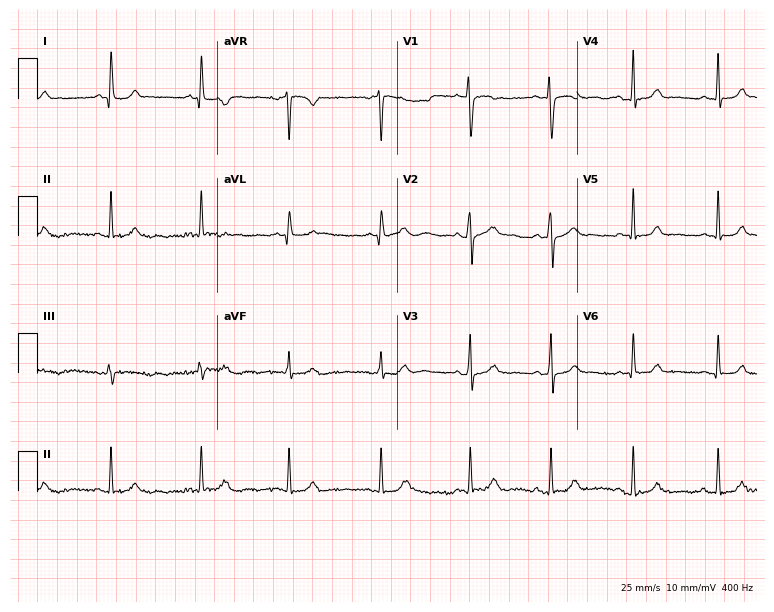
Electrocardiogram, a woman, 18 years old. Of the six screened findings (first-degree AV block, right bundle branch block (RBBB), left bundle branch block (LBBB), sinus bradycardia, atrial fibrillation (AF), sinus tachycardia), none is recorded. Other findings, if any, are not listed.